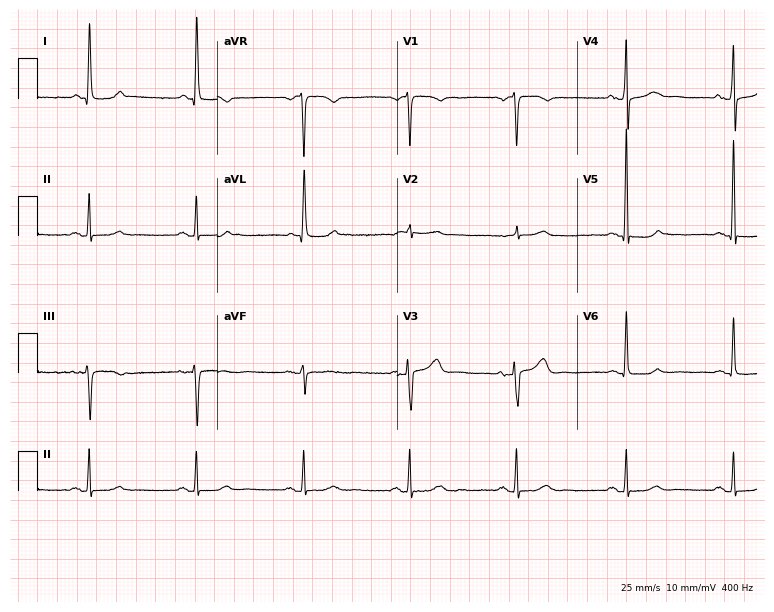
12-lead ECG from a female, 69 years old (7.3-second recording at 400 Hz). No first-degree AV block, right bundle branch block, left bundle branch block, sinus bradycardia, atrial fibrillation or sinus tachycardia recorded for this tracing. Findings outside these six are not listed.